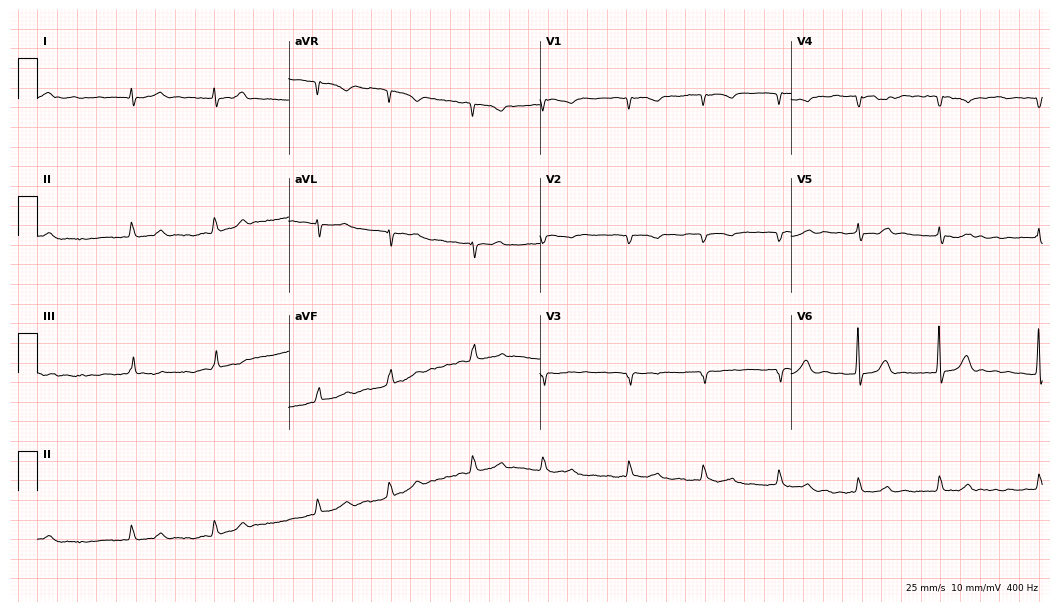
Resting 12-lead electrocardiogram. Patient: a female, 82 years old. None of these six findings is recorded: first-degree AV block, right bundle branch block, left bundle branch block, sinus bradycardia, atrial fibrillation, sinus tachycardia.